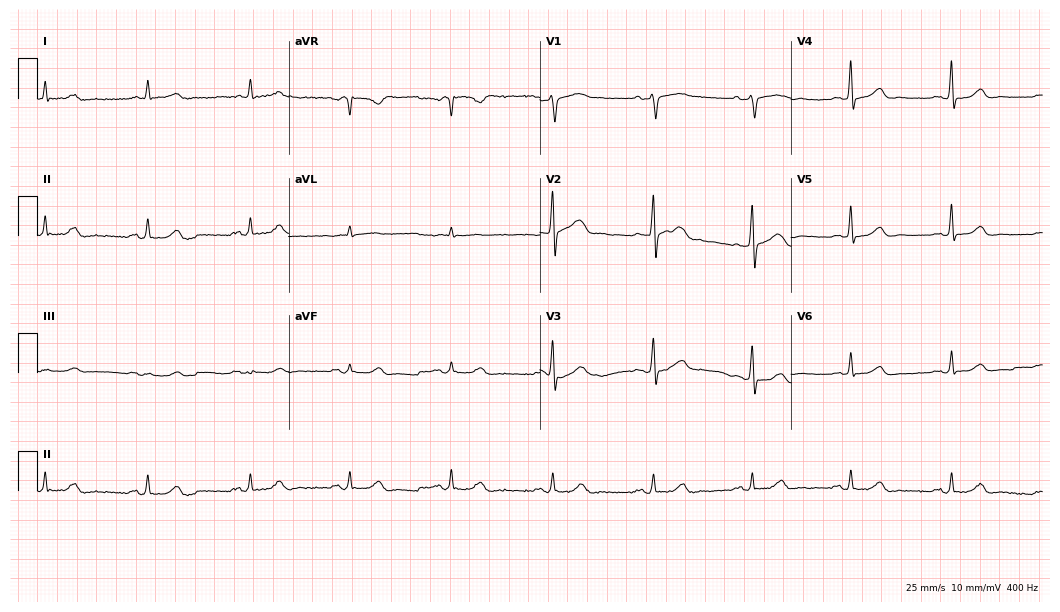
ECG — a male, 65 years old. Labelled as a normal ECG.